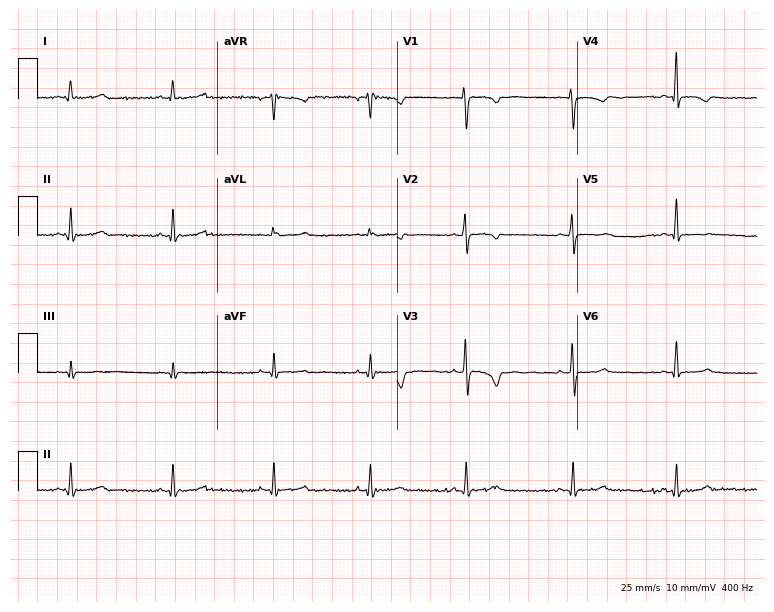
12-lead ECG (7.3-second recording at 400 Hz) from a woman, 29 years old. Screened for six findings — first-degree AV block, right bundle branch block, left bundle branch block, sinus bradycardia, atrial fibrillation, sinus tachycardia — none is recorded.